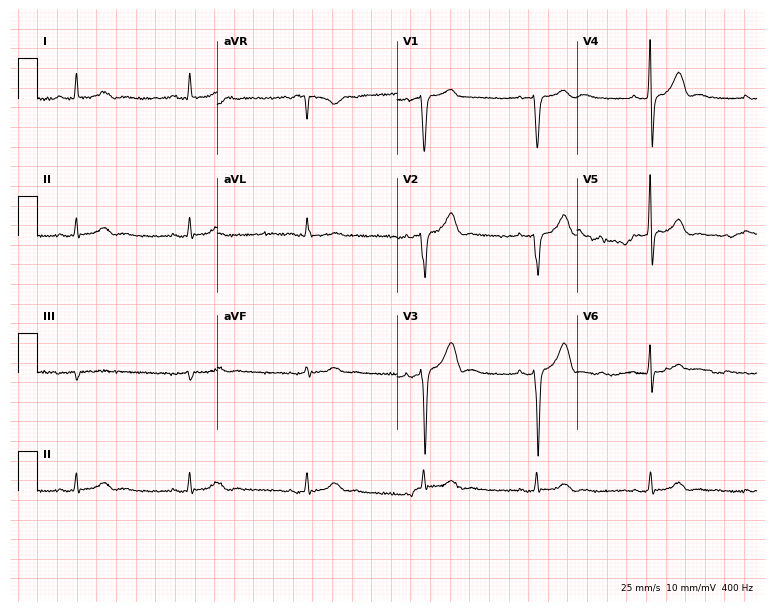
ECG — a male patient, 61 years old. Screened for six findings — first-degree AV block, right bundle branch block (RBBB), left bundle branch block (LBBB), sinus bradycardia, atrial fibrillation (AF), sinus tachycardia — none is recorded.